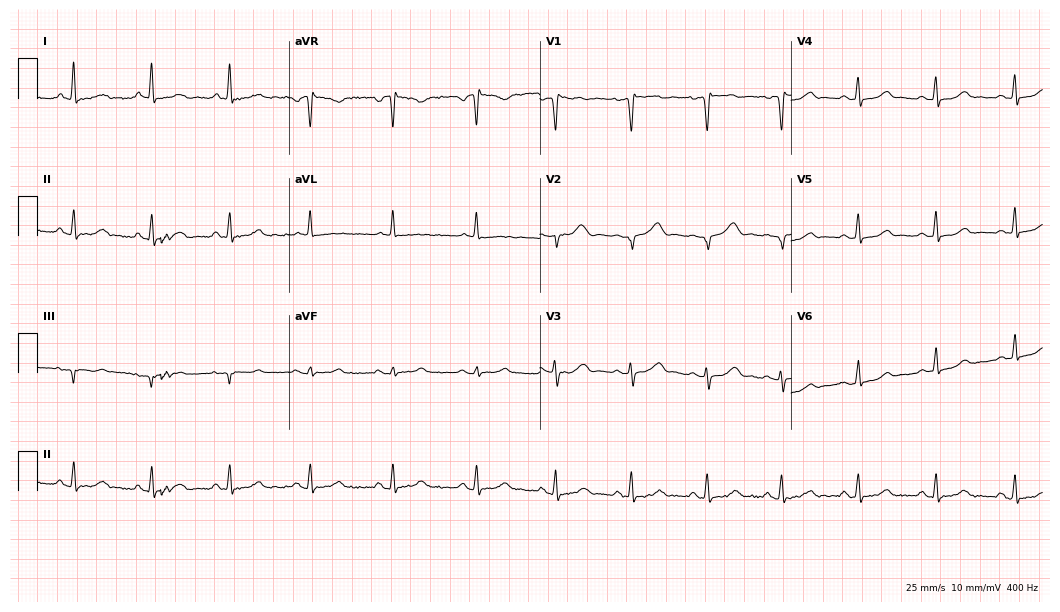
ECG — a woman, 54 years old. Labelled as a normal ECG.